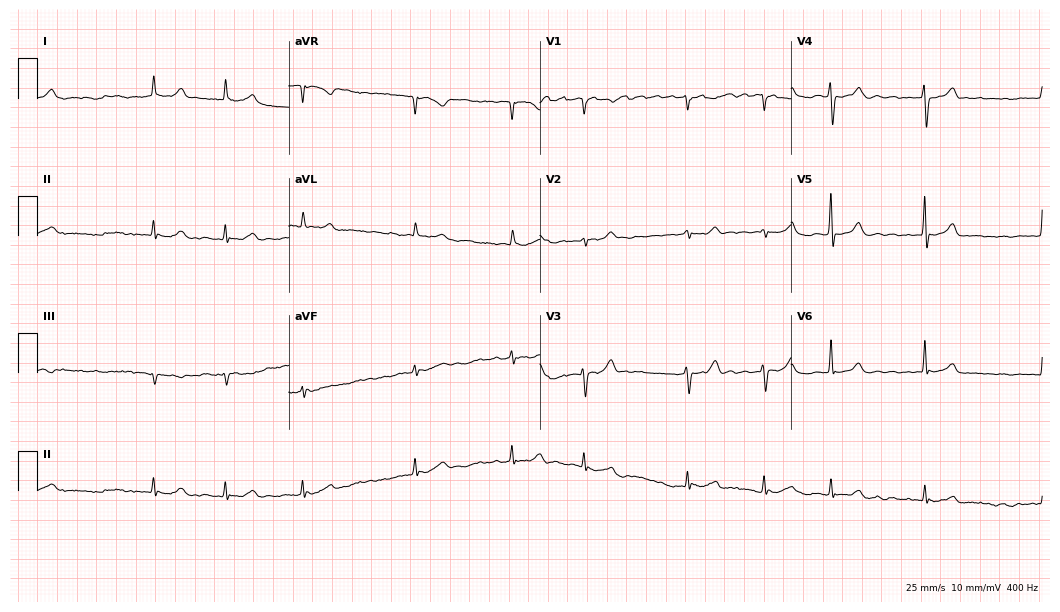
12-lead ECG from a female patient, 74 years old. Findings include atrial fibrillation.